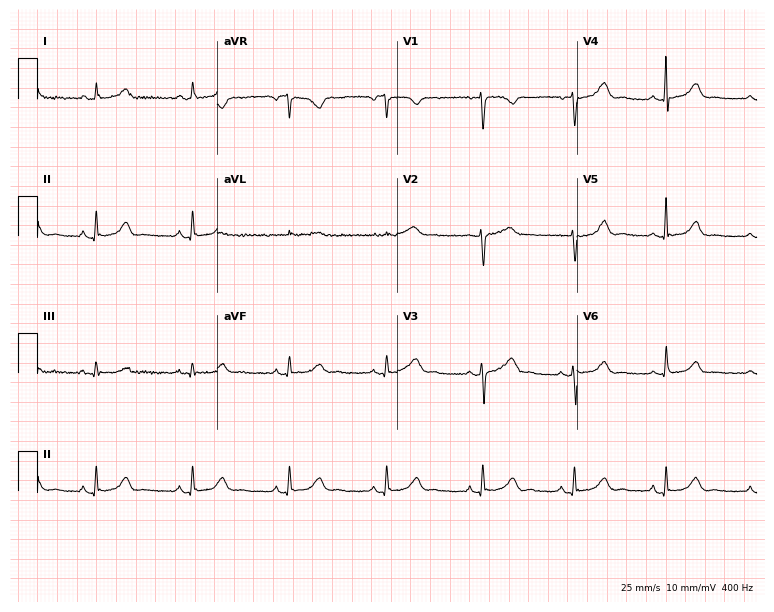
ECG — a 55-year-old female patient. Labelled as a normal ECG.